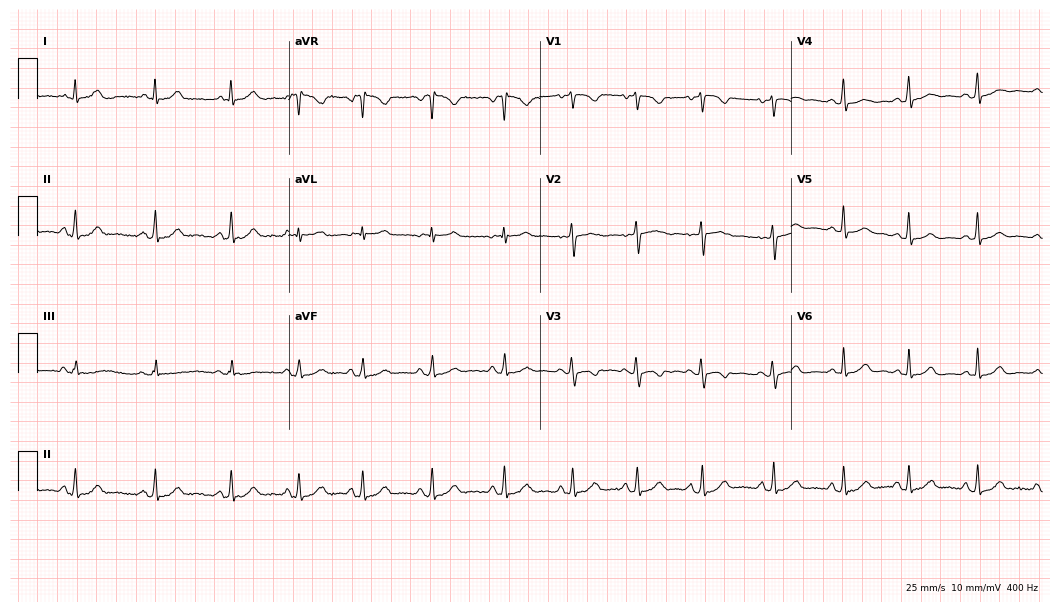
Standard 12-lead ECG recorded from a 31-year-old female. Read as a normal ECG.